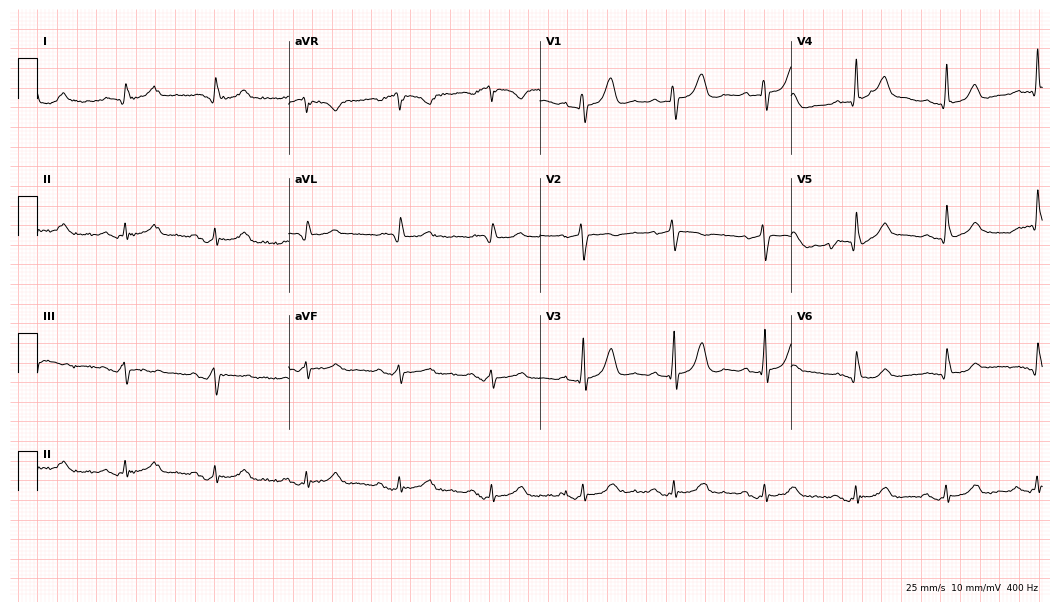
Standard 12-lead ECG recorded from a 76-year-old woman (10.2-second recording at 400 Hz). None of these six findings is recorded: first-degree AV block, right bundle branch block (RBBB), left bundle branch block (LBBB), sinus bradycardia, atrial fibrillation (AF), sinus tachycardia. Other findings, if any, are not listed.